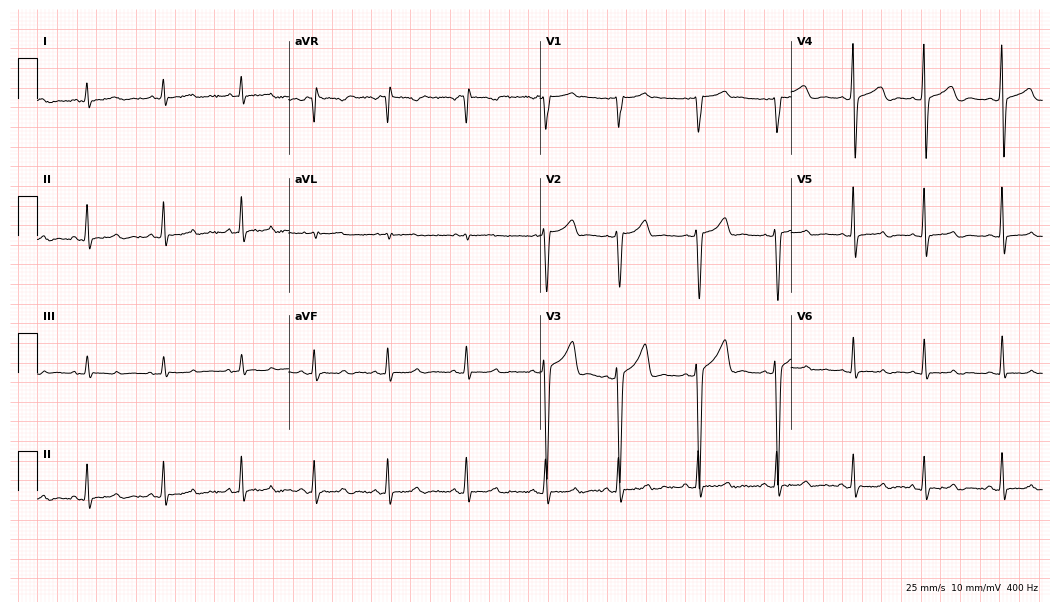
Standard 12-lead ECG recorded from a male, 31 years old (10.2-second recording at 400 Hz). None of these six findings is recorded: first-degree AV block, right bundle branch block, left bundle branch block, sinus bradycardia, atrial fibrillation, sinus tachycardia.